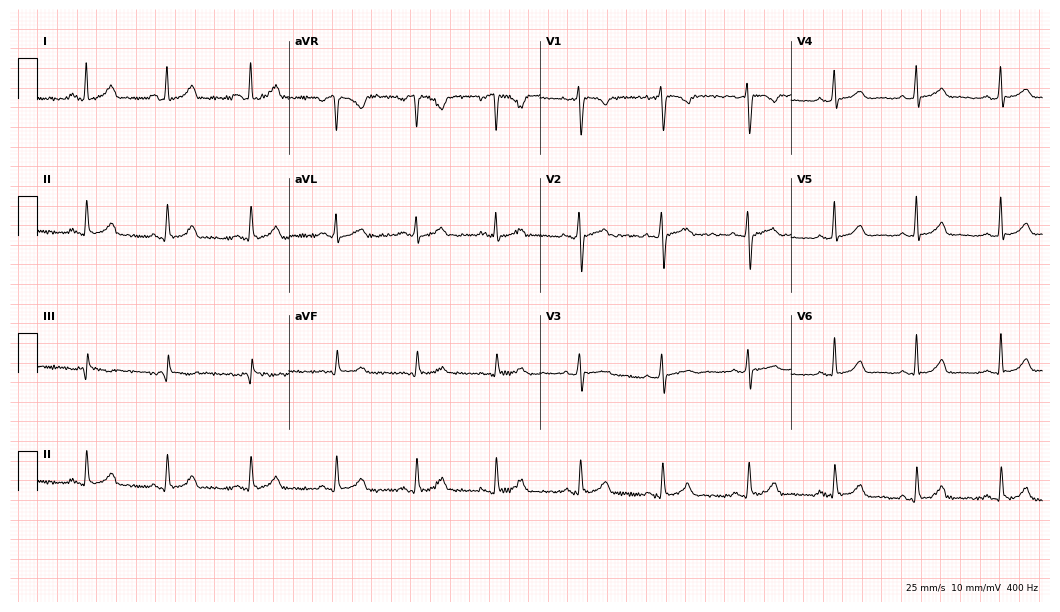
Resting 12-lead electrocardiogram (10.2-second recording at 400 Hz). Patient: a 27-year-old woman. Read as a normal ECG.